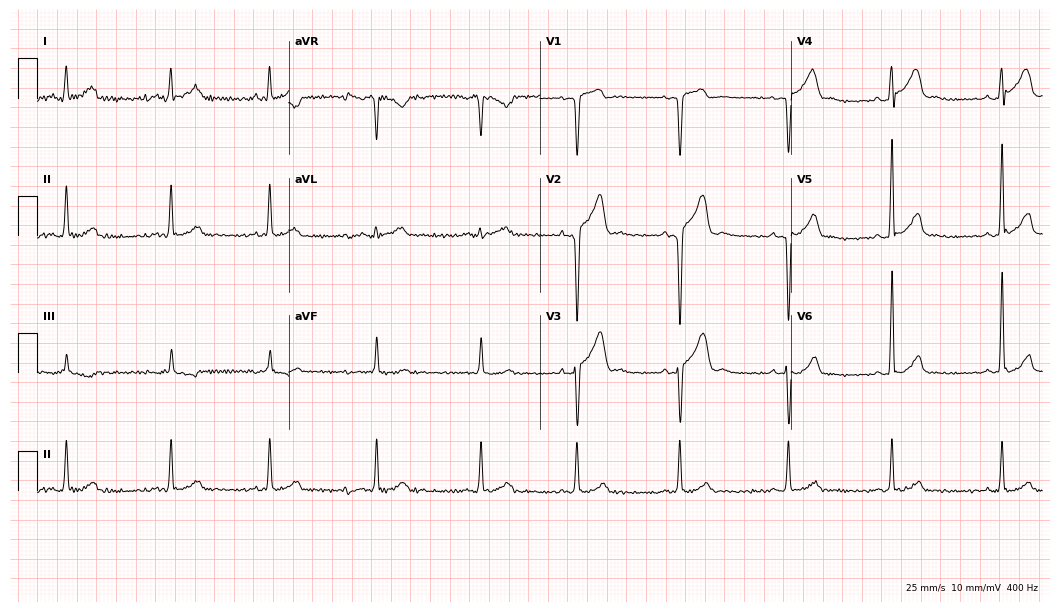
ECG — a male, 22 years old. Screened for six findings — first-degree AV block, right bundle branch block, left bundle branch block, sinus bradycardia, atrial fibrillation, sinus tachycardia — none is recorded. Only these six findings were labelled.